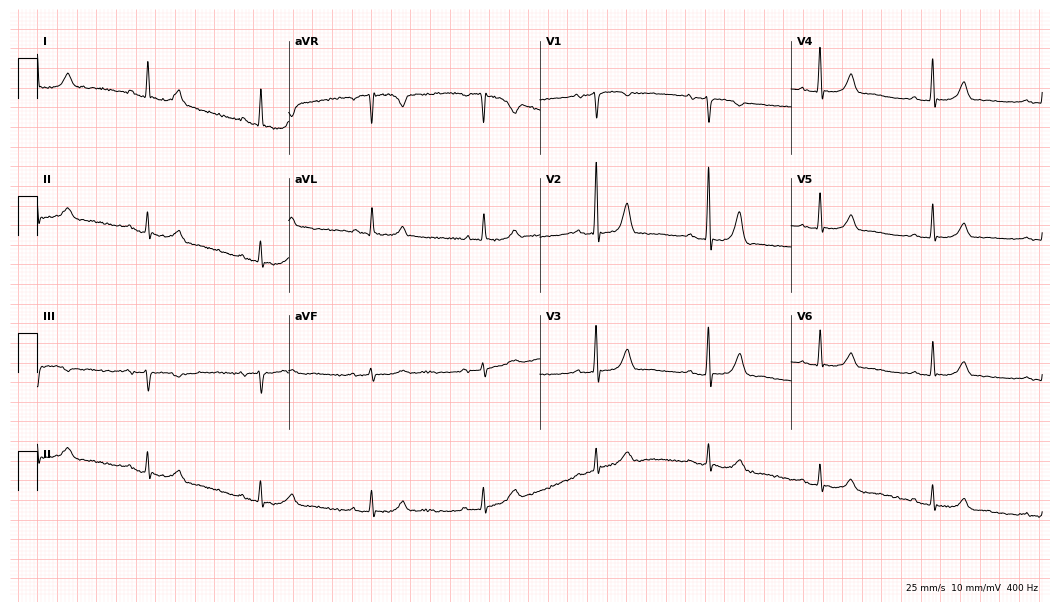
12-lead ECG from a female patient, 71 years old. Recorded interpretation: within normal limits.